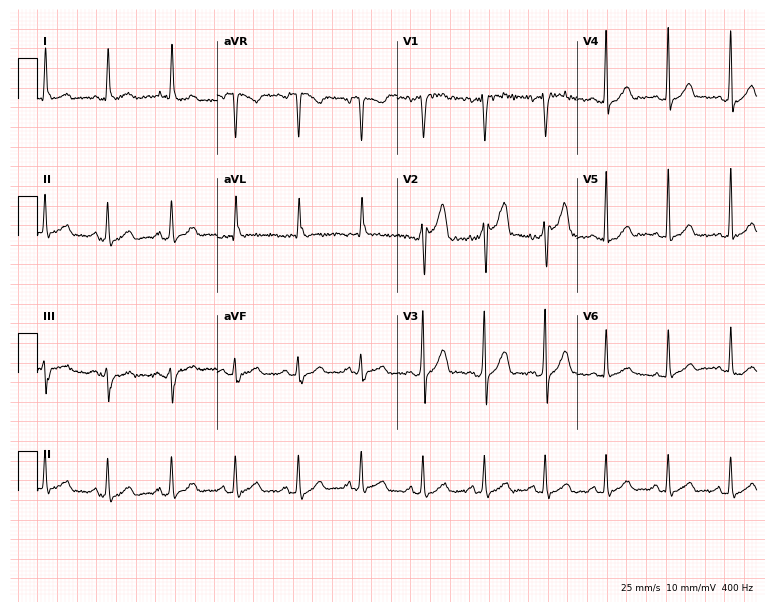
12-lead ECG from a 41-year-old male patient (7.3-second recording at 400 Hz). Recorded interpretation: within normal limits.